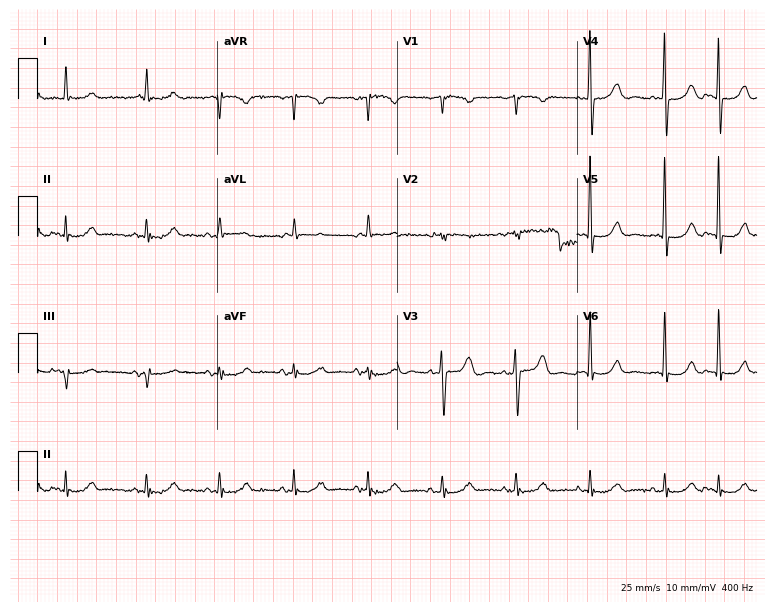
Electrocardiogram (7.3-second recording at 400 Hz), a man, 76 years old. Overall reading on record: normal ECG.